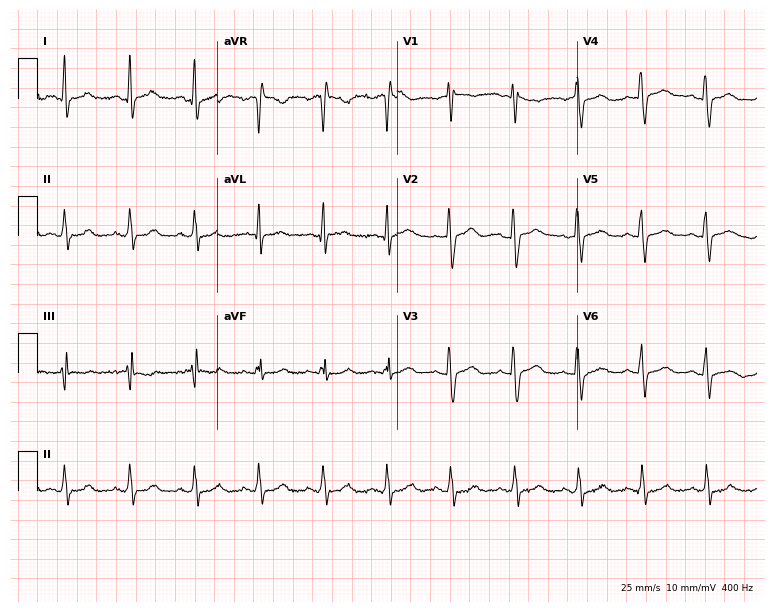
Resting 12-lead electrocardiogram (7.3-second recording at 400 Hz). Patient: a 41-year-old male. None of these six findings is recorded: first-degree AV block, right bundle branch block (RBBB), left bundle branch block (LBBB), sinus bradycardia, atrial fibrillation (AF), sinus tachycardia.